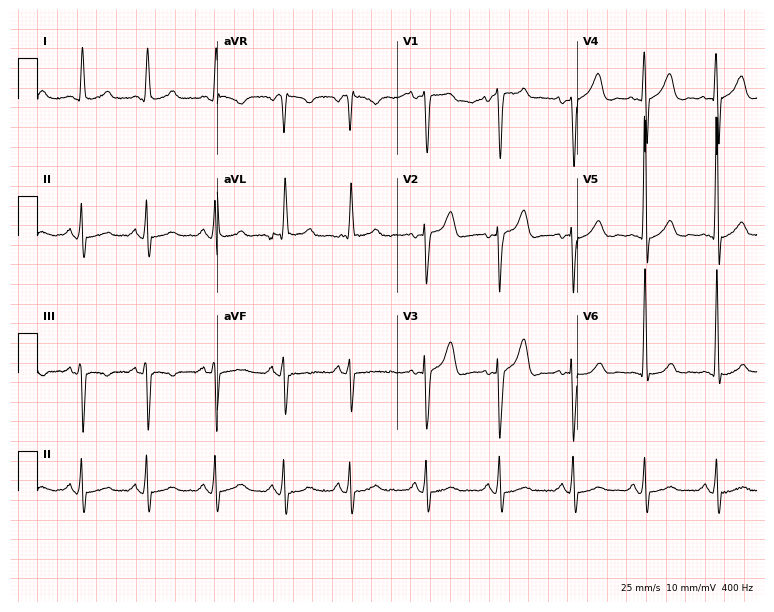
Resting 12-lead electrocardiogram. Patient: an 83-year-old female. None of these six findings is recorded: first-degree AV block, right bundle branch block, left bundle branch block, sinus bradycardia, atrial fibrillation, sinus tachycardia. Other findings, if any, are not listed.